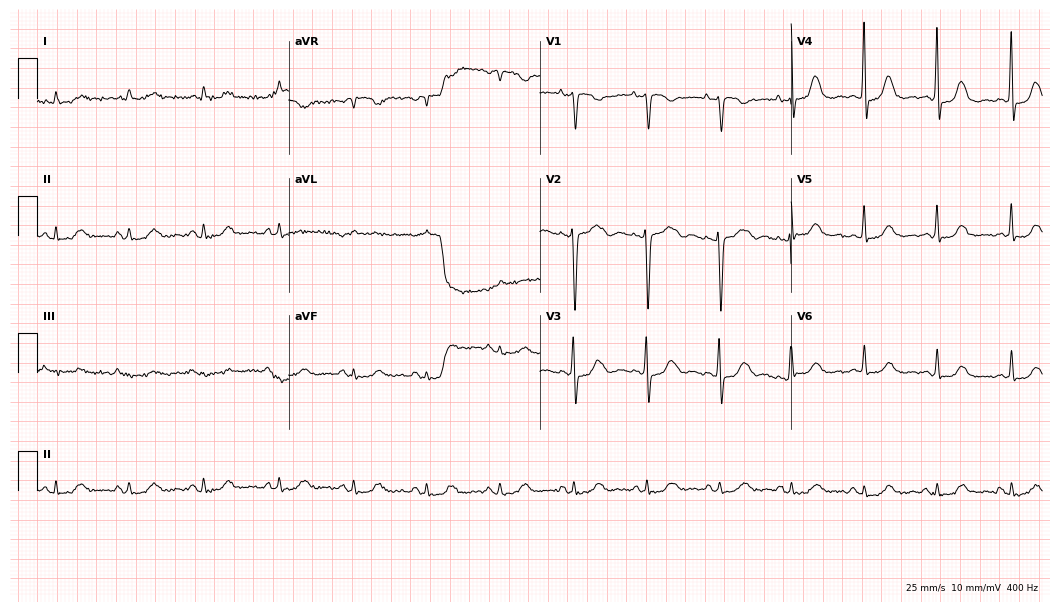
12-lead ECG from a female, 79 years old (10.2-second recording at 400 Hz). Recorded interpretation: within normal limits.